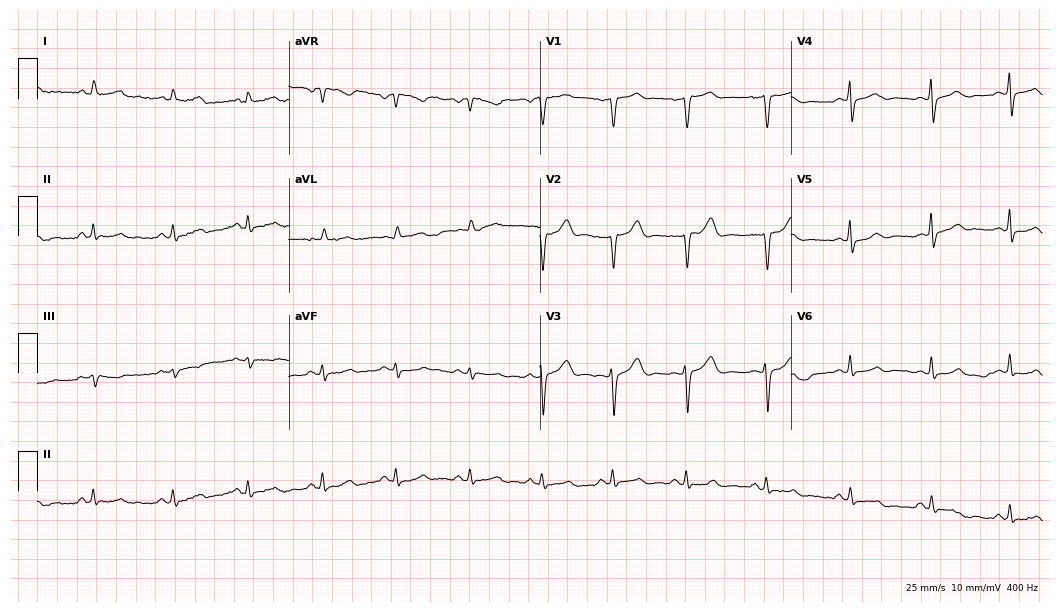
Electrocardiogram, a female, 40 years old. Overall reading on record: normal ECG.